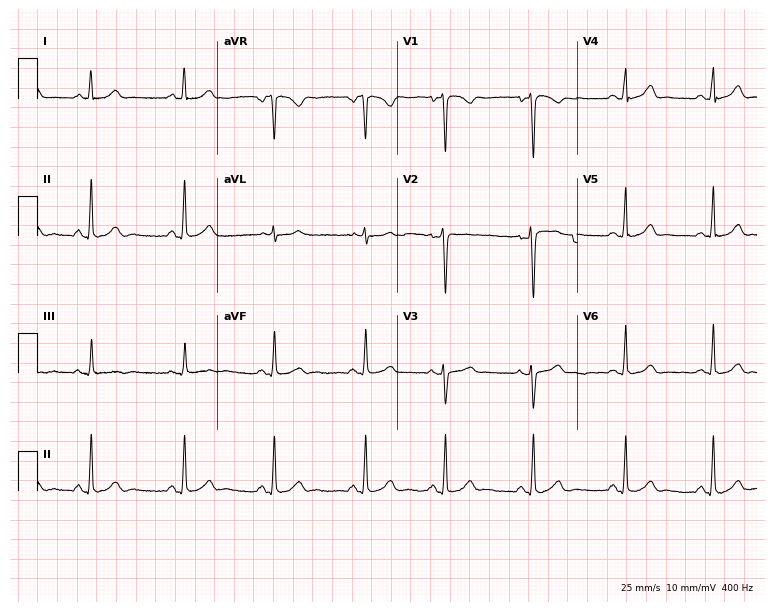
Standard 12-lead ECG recorded from a 19-year-old female. Read as a normal ECG.